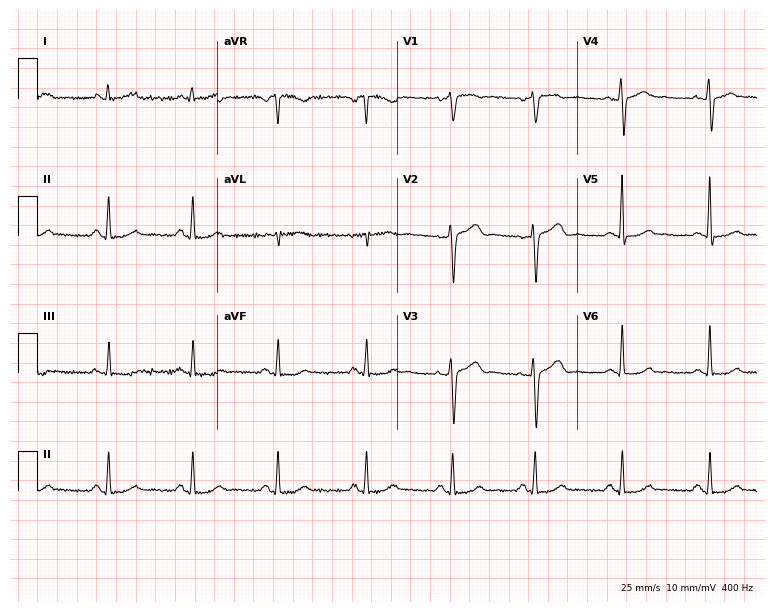
Resting 12-lead electrocardiogram (7.3-second recording at 400 Hz). Patient: a female, 42 years old. Read as a normal ECG.